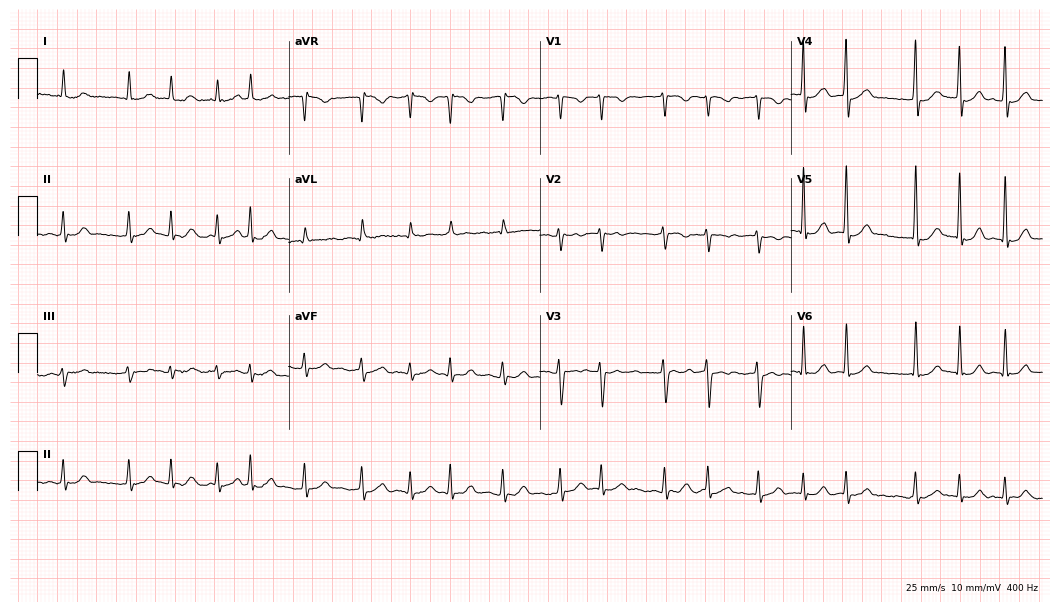
12-lead ECG from a female patient, 74 years old. Screened for six findings — first-degree AV block, right bundle branch block (RBBB), left bundle branch block (LBBB), sinus bradycardia, atrial fibrillation (AF), sinus tachycardia — none is recorded. Other findings, if any, are not listed.